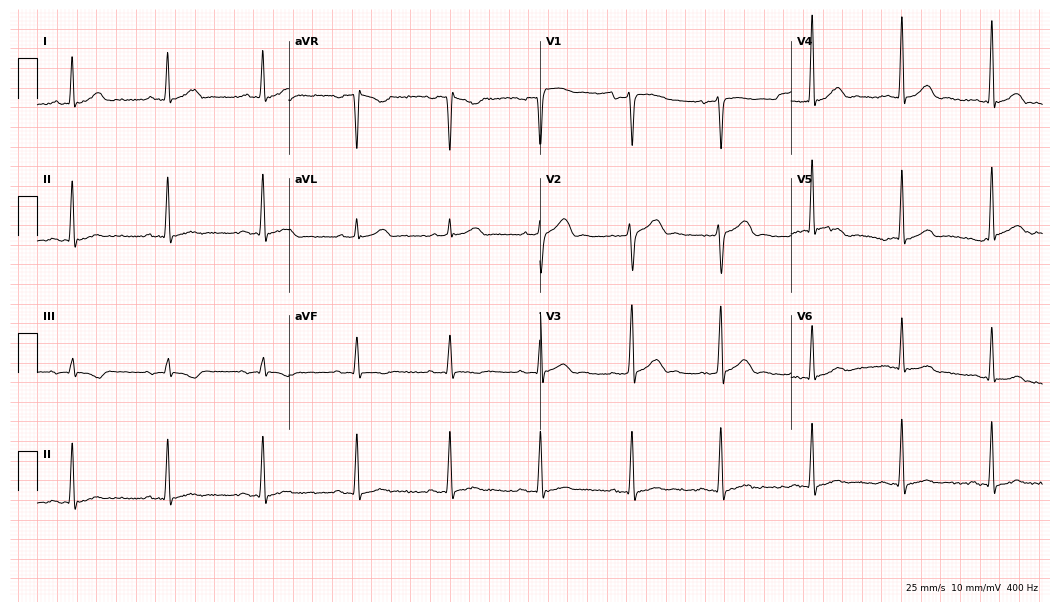
12-lead ECG from a male, 28 years old. No first-degree AV block, right bundle branch block, left bundle branch block, sinus bradycardia, atrial fibrillation or sinus tachycardia recorded for this tracing.